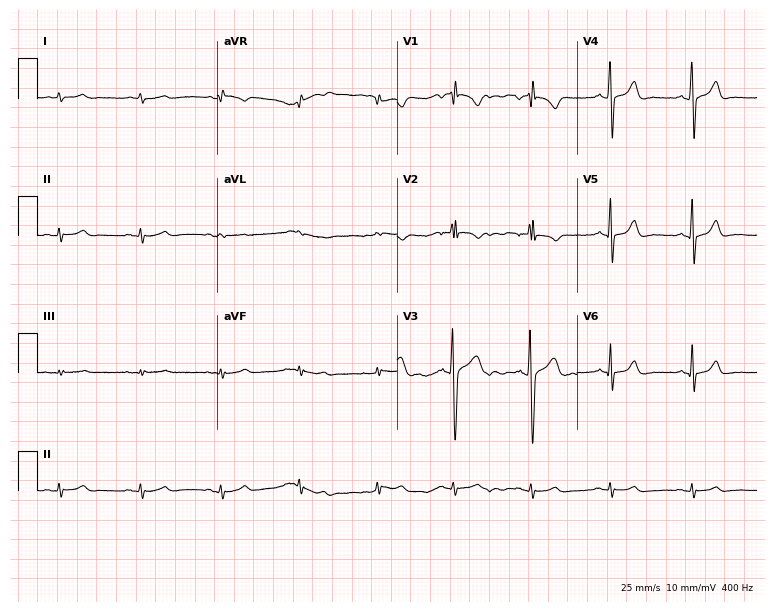
Resting 12-lead electrocardiogram. Patient: a 19-year-old male. None of these six findings is recorded: first-degree AV block, right bundle branch block, left bundle branch block, sinus bradycardia, atrial fibrillation, sinus tachycardia. Findings outside these six are not listed.